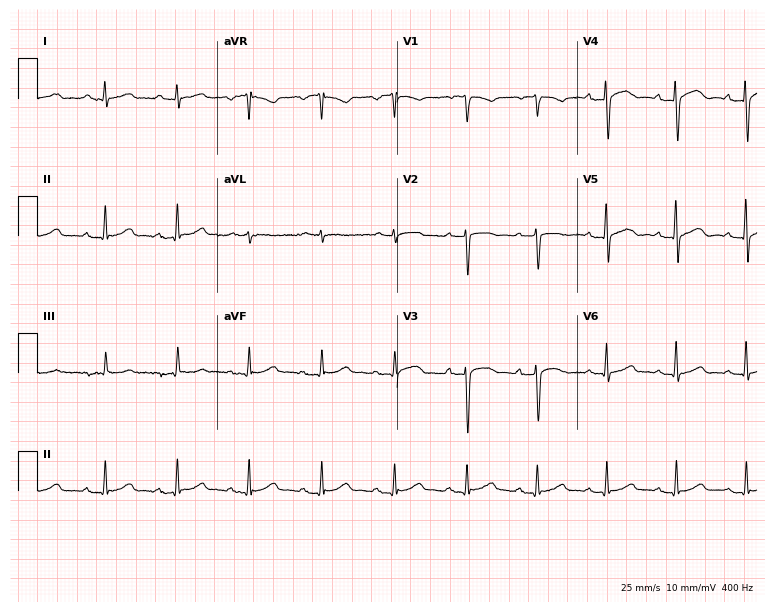
Resting 12-lead electrocardiogram. Patient: a 61-year-old man. Read as a normal ECG.